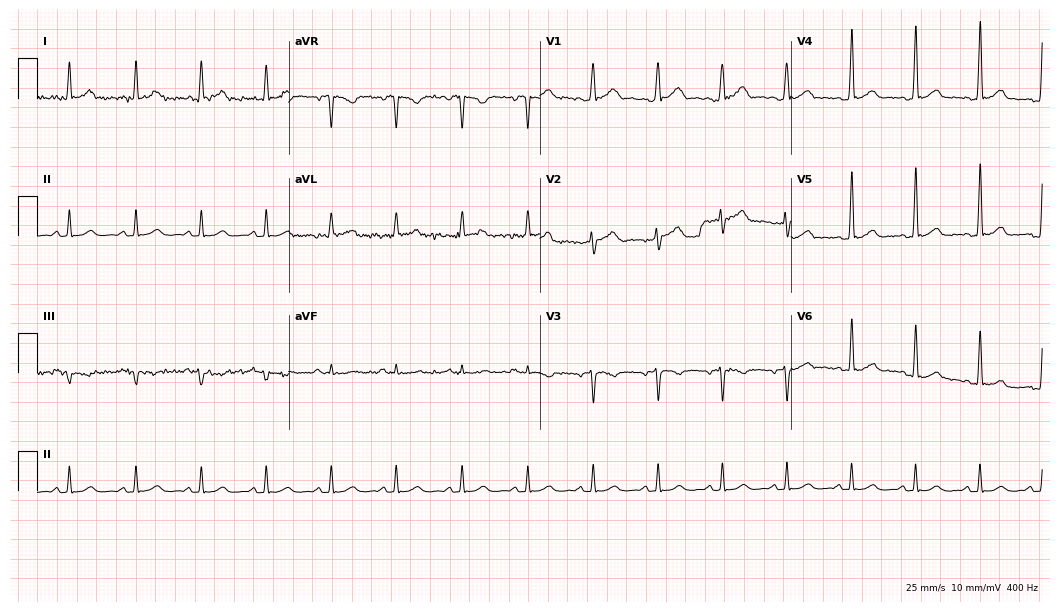
Electrocardiogram (10.2-second recording at 400 Hz), a male patient, 36 years old. Of the six screened findings (first-degree AV block, right bundle branch block, left bundle branch block, sinus bradycardia, atrial fibrillation, sinus tachycardia), none is recorded. Only these six findings were labelled.